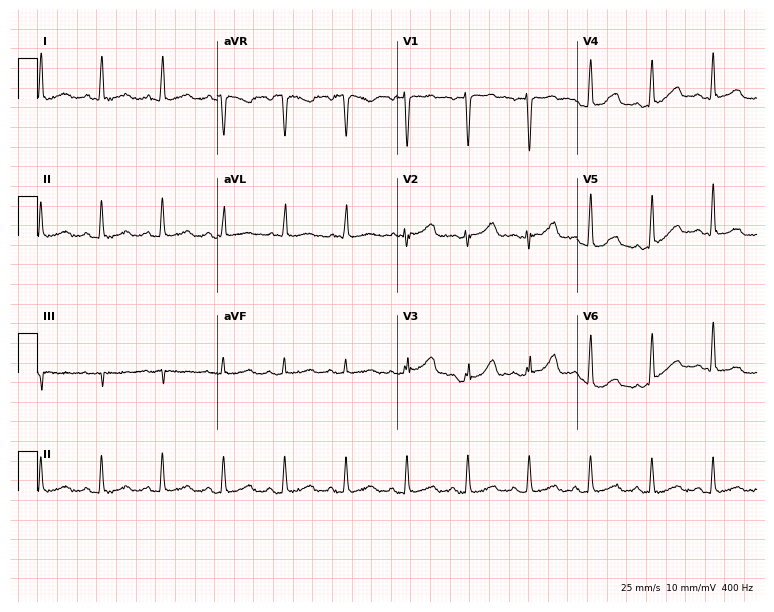
Electrocardiogram, a 58-year-old female patient. Overall reading on record: normal ECG.